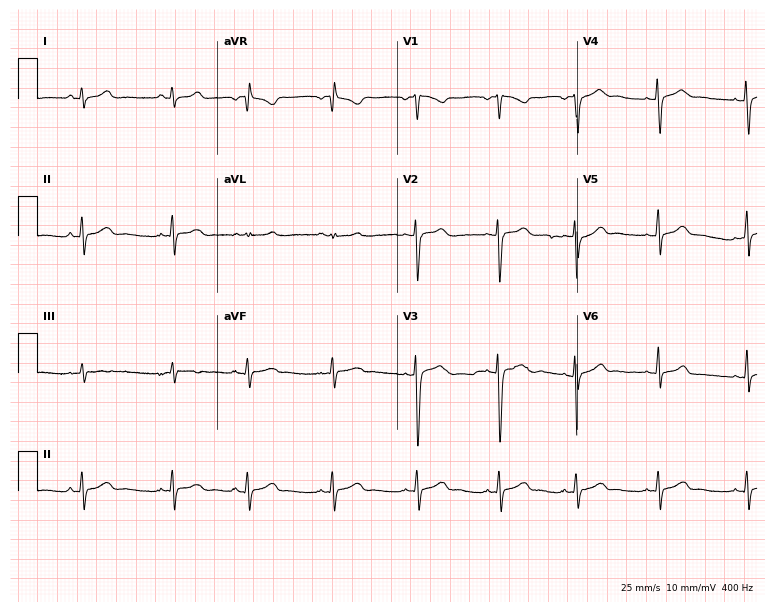
Electrocardiogram, a woman, 29 years old. Overall reading on record: normal ECG.